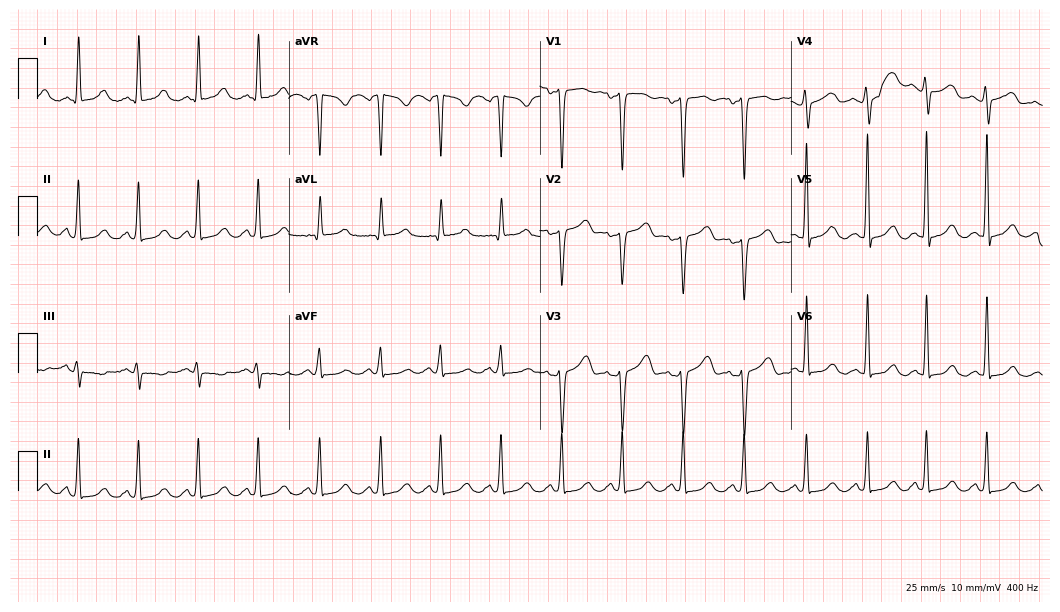
ECG (10.2-second recording at 400 Hz) — a 39-year-old female. Screened for six findings — first-degree AV block, right bundle branch block, left bundle branch block, sinus bradycardia, atrial fibrillation, sinus tachycardia — none is recorded. Only these six findings were labelled.